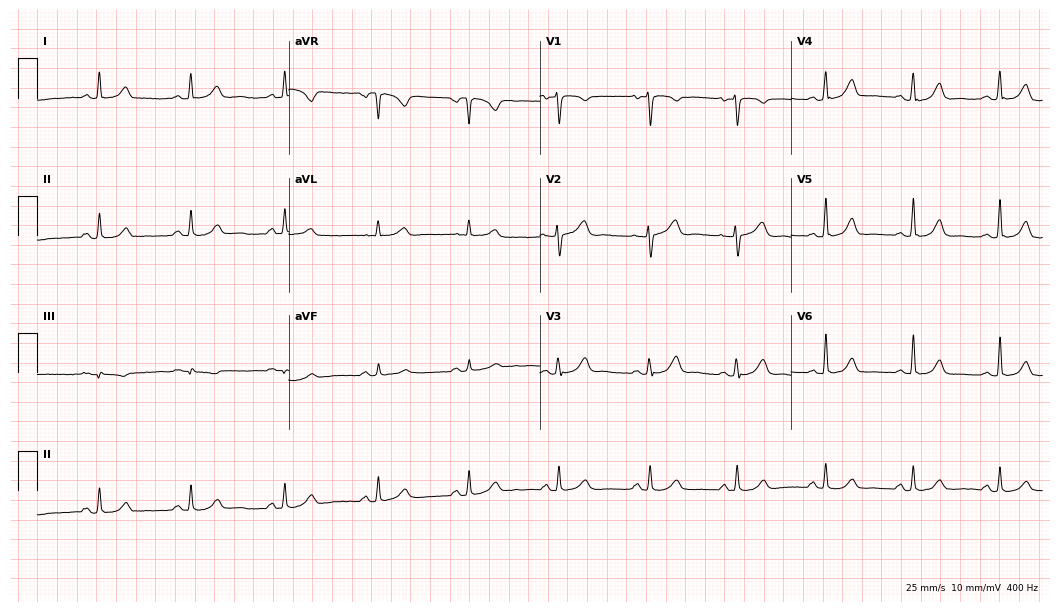
12-lead ECG from a woman, 38 years old (10.2-second recording at 400 Hz). Recorded interpretation: within normal limits.